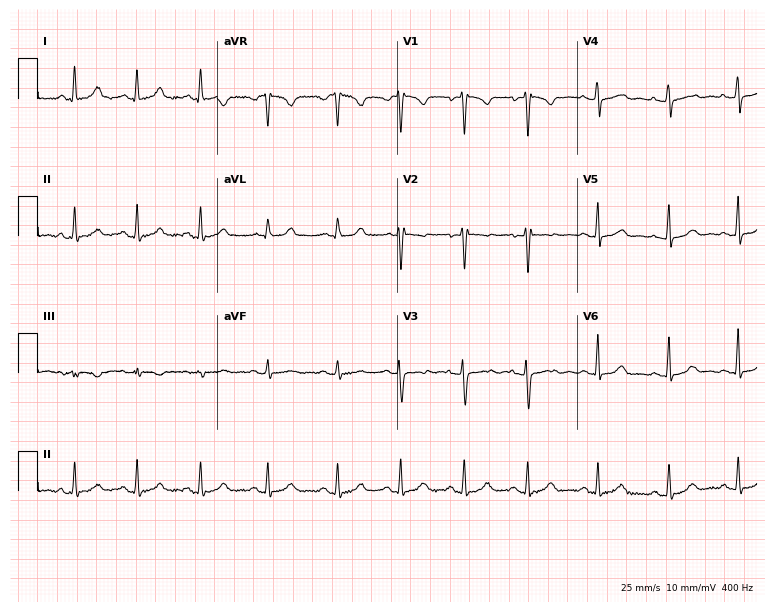
Standard 12-lead ECG recorded from a woman, 45 years old (7.3-second recording at 400 Hz). Read as a normal ECG.